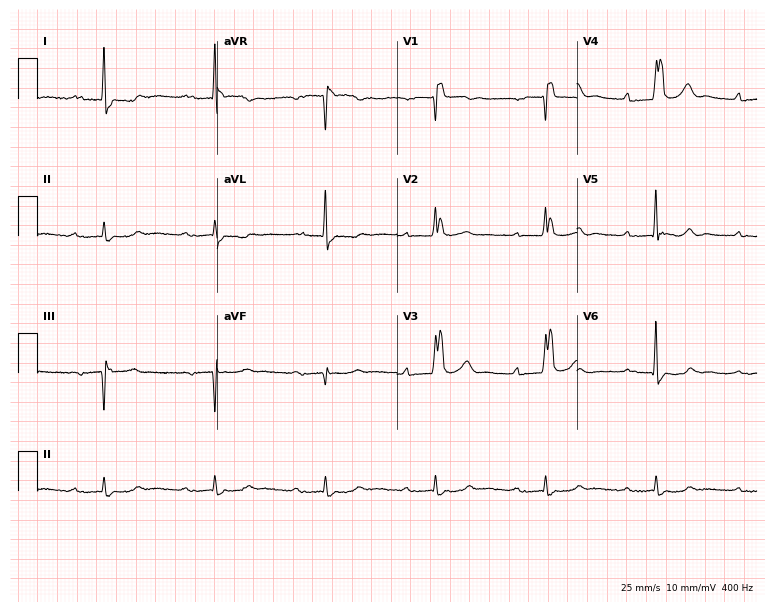
Standard 12-lead ECG recorded from a male, 35 years old (7.3-second recording at 400 Hz). The tracing shows first-degree AV block, right bundle branch block (RBBB).